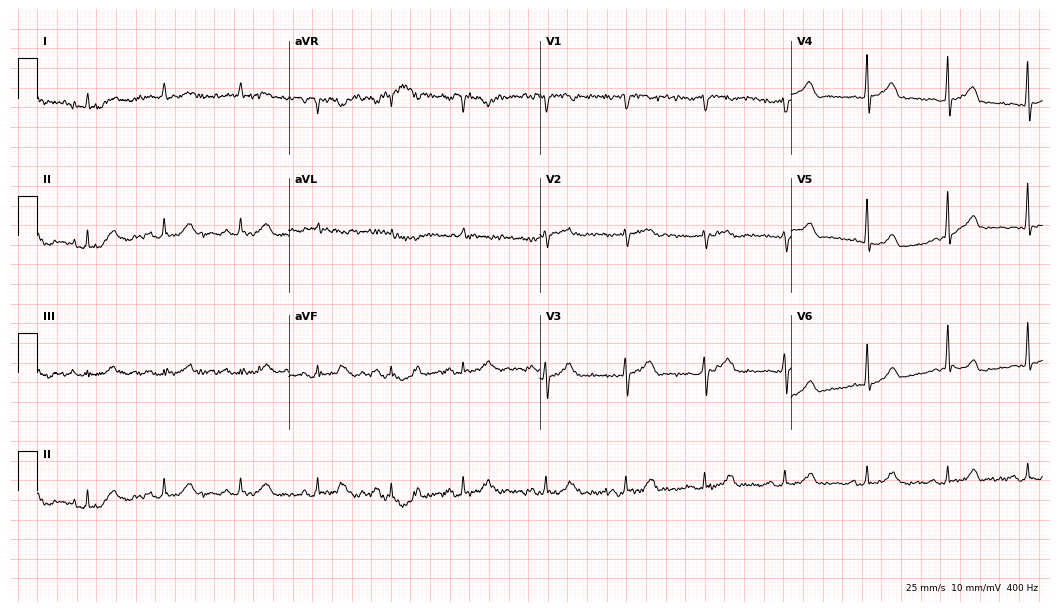
Standard 12-lead ECG recorded from a 71-year-old man. None of these six findings is recorded: first-degree AV block, right bundle branch block (RBBB), left bundle branch block (LBBB), sinus bradycardia, atrial fibrillation (AF), sinus tachycardia. Only these six findings were labelled.